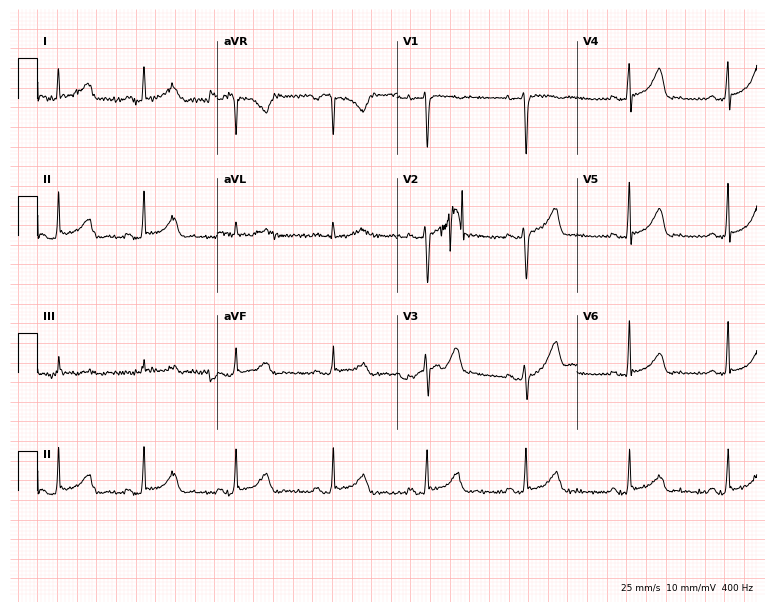
12-lead ECG from a female, 49 years old (7.3-second recording at 400 Hz). No first-degree AV block, right bundle branch block, left bundle branch block, sinus bradycardia, atrial fibrillation or sinus tachycardia recorded for this tracing.